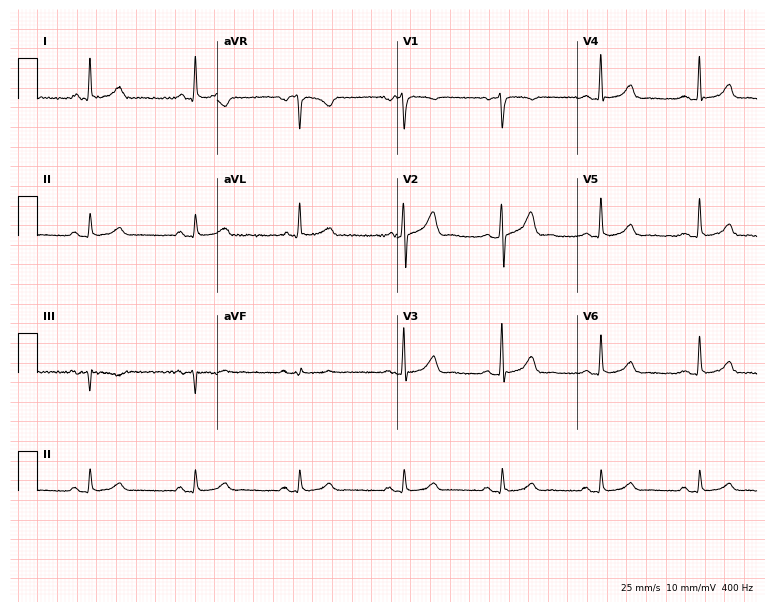
ECG (7.3-second recording at 400 Hz) — a man, 51 years old. Labelled as a normal ECG.